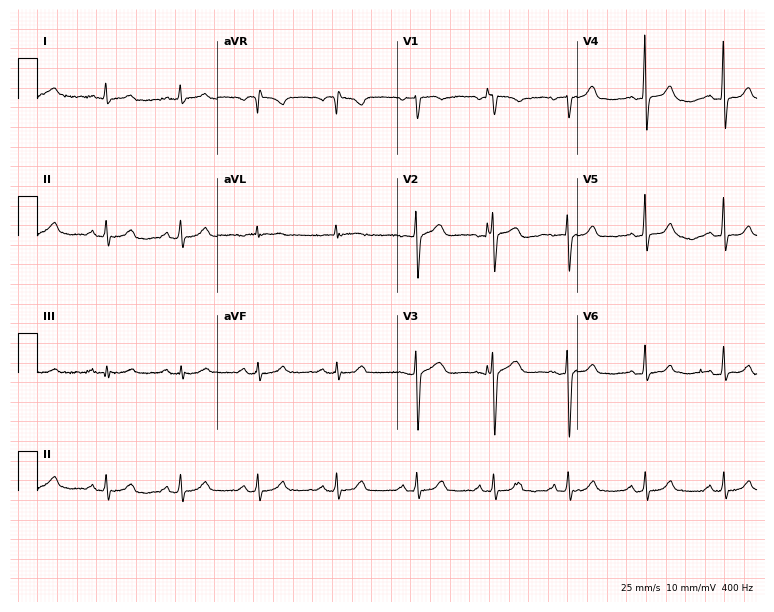
ECG — a 65-year-old female patient. Labelled as a normal ECG.